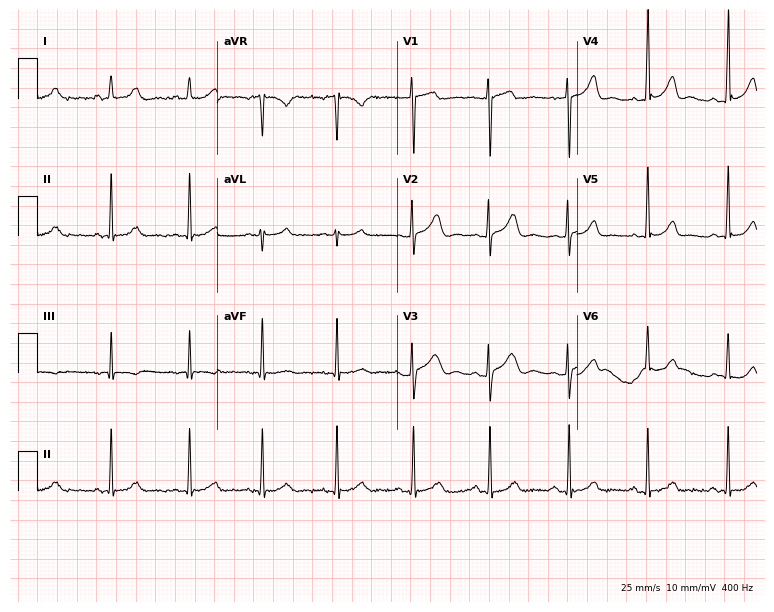
Standard 12-lead ECG recorded from a female, 24 years old (7.3-second recording at 400 Hz). Read as a normal ECG.